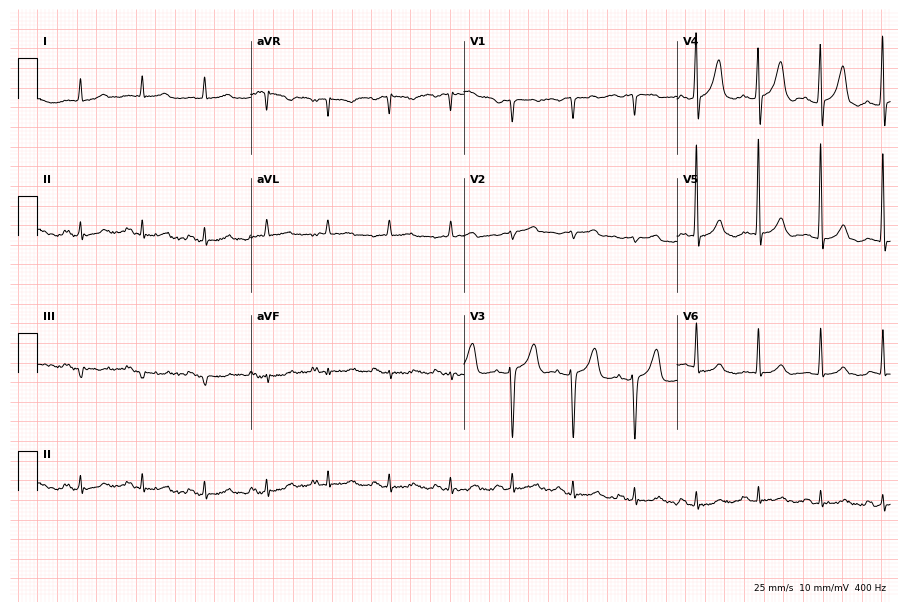
Standard 12-lead ECG recorded from a woman, 86 years old. None of these six findings is recorded: first-degree AV block, right bundle branch block, left bundle branch block, sinus bradycardia, atrial fibrillation, sinus tachycardia.